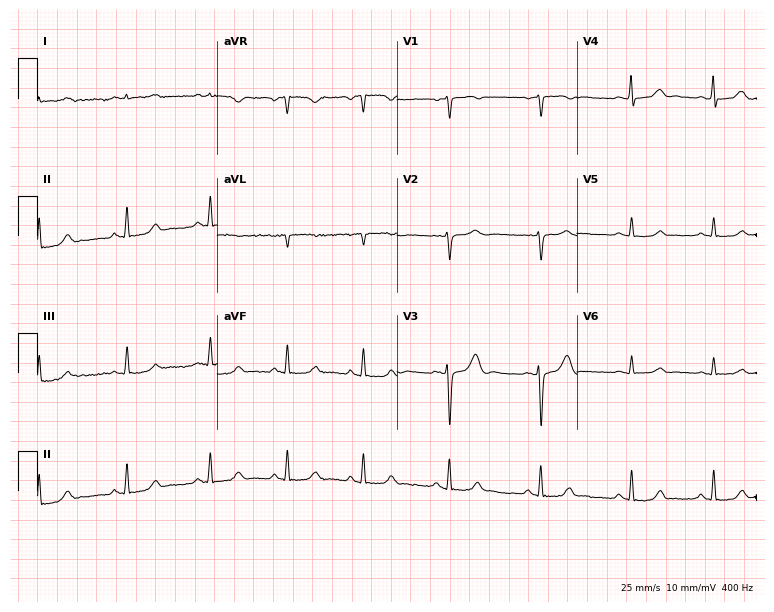
Resting 12-lead electrocardiogram (7.3-second recording at 400 Hz). Patient: a 33-year-old woman. None of these six findings is recorded: first-degree AV block, right bundle branch block, left bundle branch block, sinus bradycardia, atrial fibrillation, sinus tachycardia. Other findings, if any, are not listed.